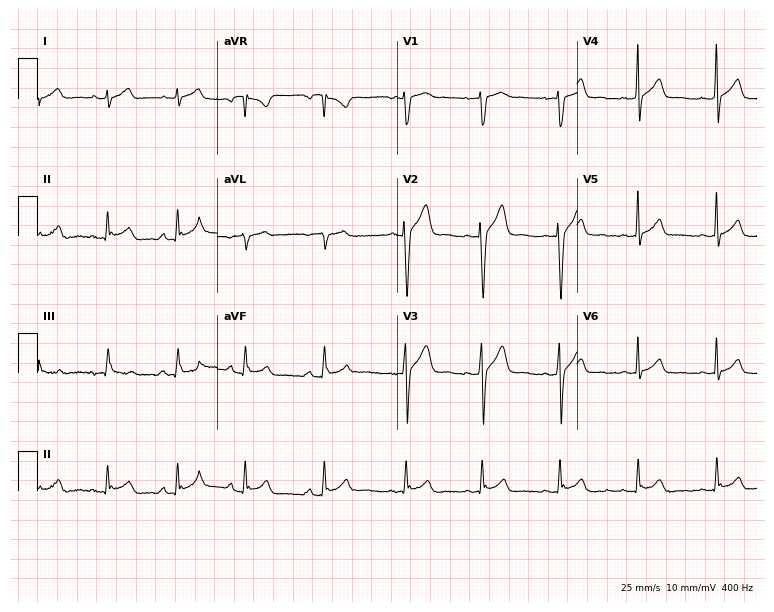
ECG — a 34-year-old male patient. Labelled as a normal ECG.